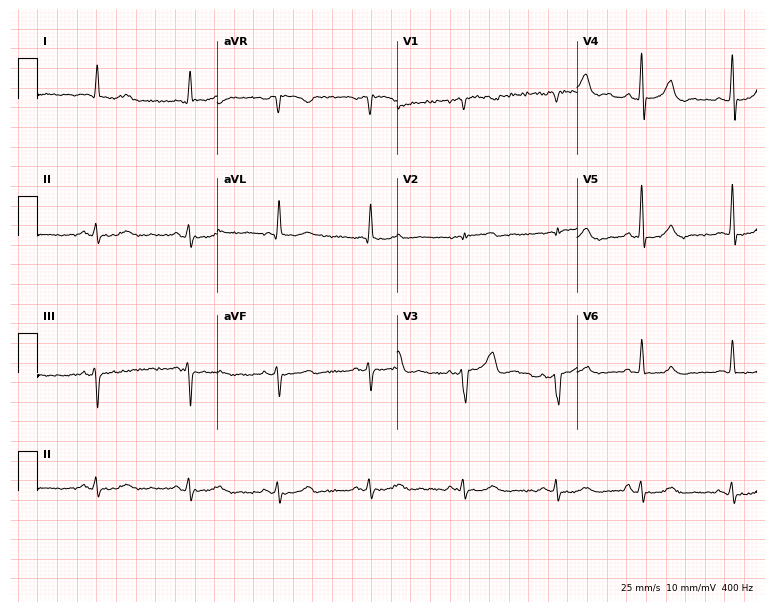
12-lead ECG from a man, 84 years old (7.3-second recording at 400 Hz). No first-degree AV block, right bundle branch block (RBBB), left bundle branch block (LBBB), sinus bradycardia, atrial fibrillation (AF) or sinus tachycardia recorded for this tracing.